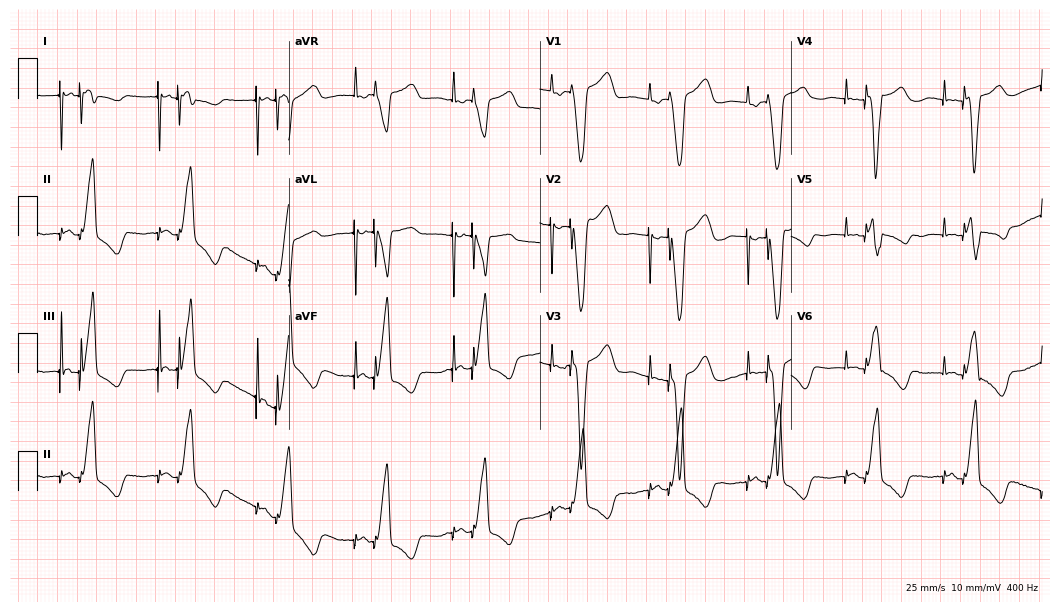
Standard 12-lead ECG recorded from a female, 75 years old. None of these six findings is recorded: first-degree AV block, right bundle branch block, left bundle branch block, sinus bradycardia, atrial fibrillation, sinus tachycardia.